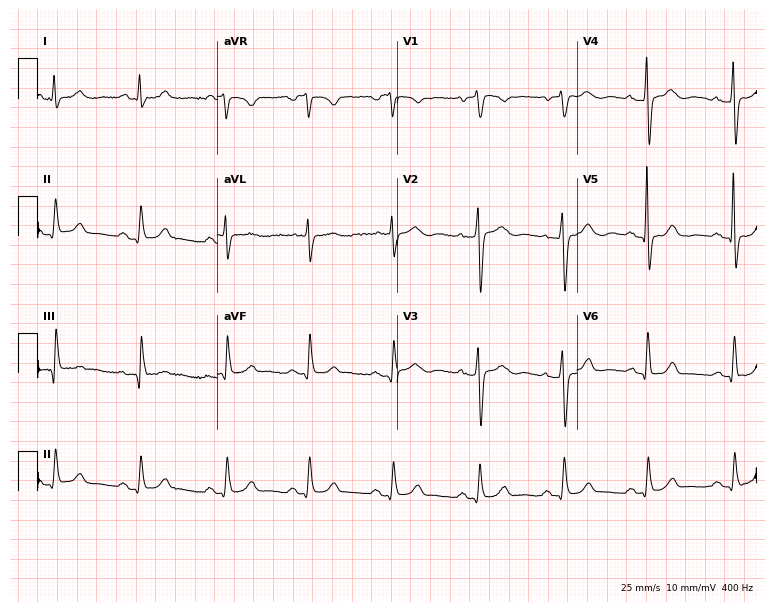
Standard 12-lead ECG recorded from a man, 69 years old. None of these six findings is recorded: first-degree AV block, right bundle branch block, left bundle branch block, sinus bradycardia, atrial fibrillation, sinus tachycardia. Other findings, if any, are not listed.